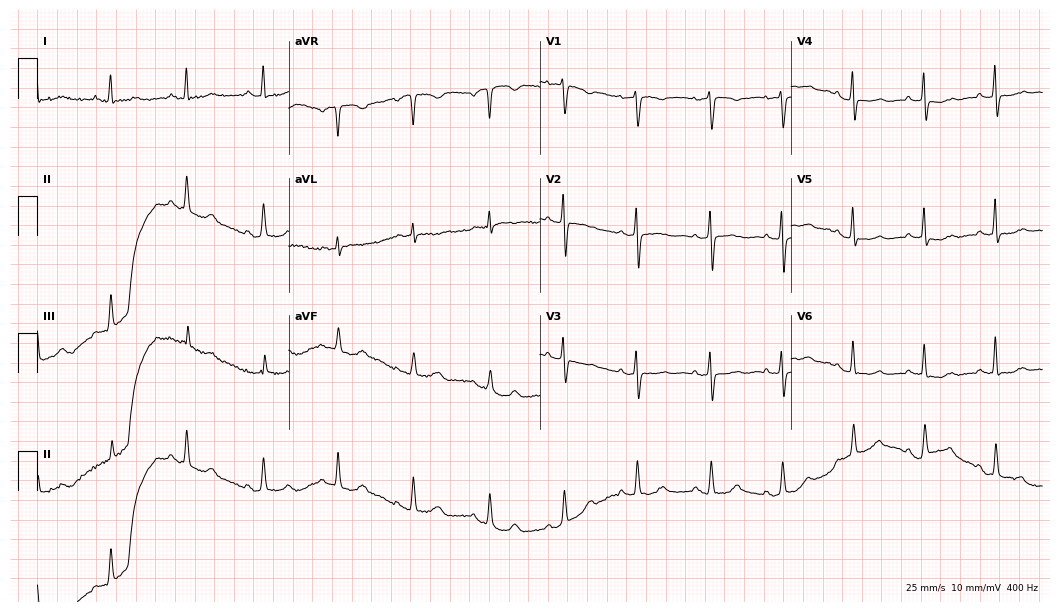
ECG — a woman, 47 years old. Labelled as a normal ECG.